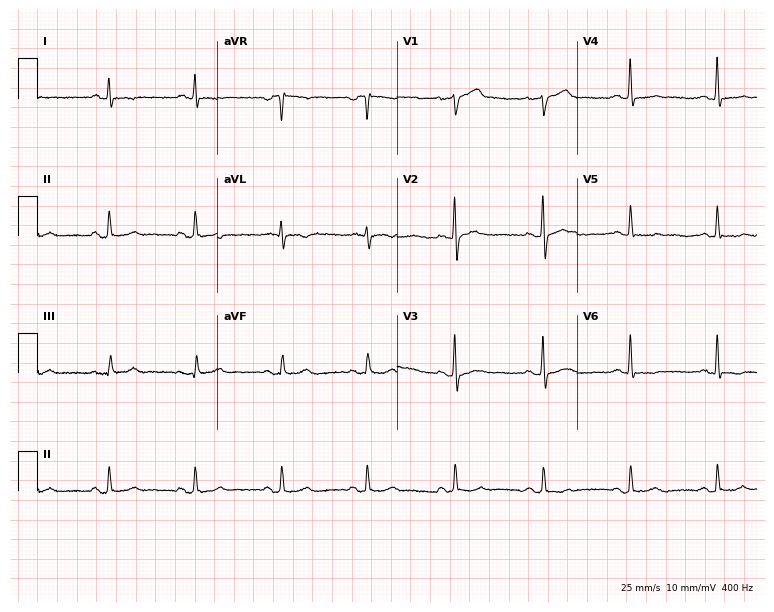
Resting 12-lead electrocardiogram (7.3-second recording at 400 Hz). Patient: a 60-year-old man. None of these six findings is recorded: first-degree AV block, right bundle branch block, left bundle branch block, sinus bradycardia, atrial fibrillation, sinus tachycardia.